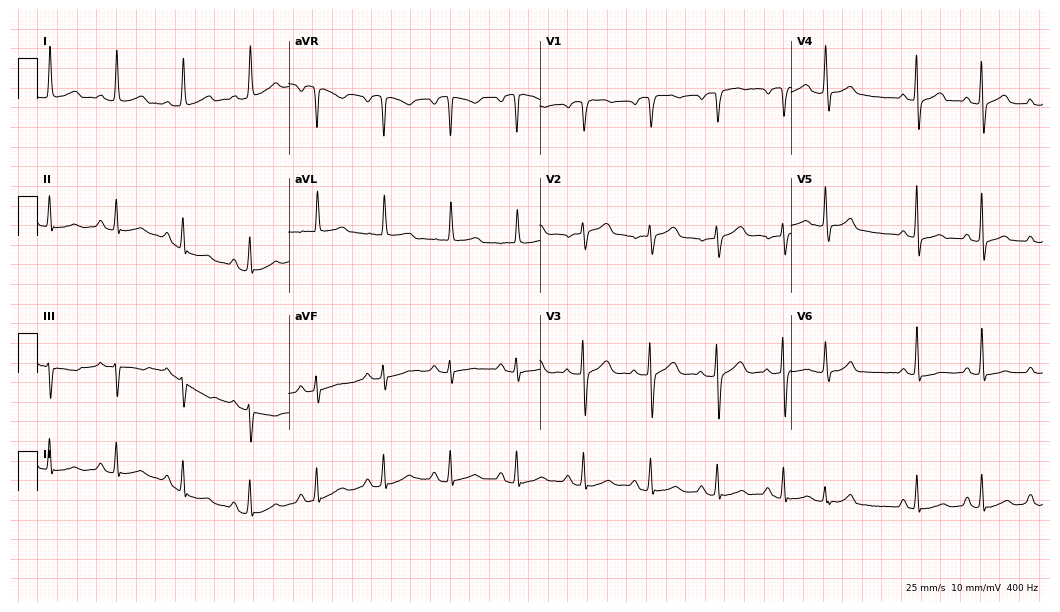
12-lead ECG from a 63-year-old woman. Recorded interpretation: within normal limits.